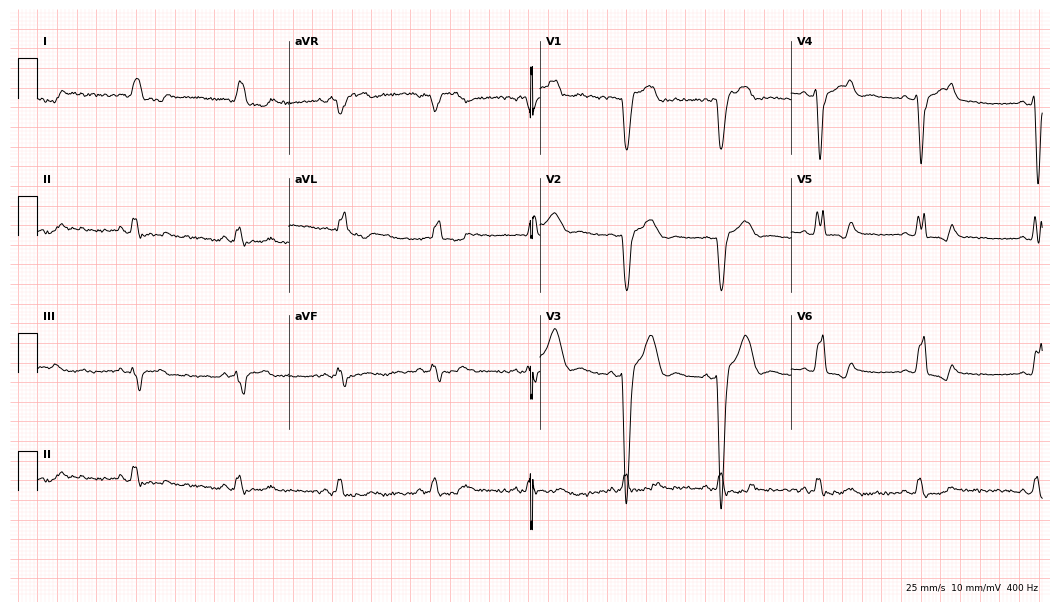
12-lead ECG (10.2-second recording at 400 Hz) from a 54-year-old male patient. Findings include left bundle branch block (LBBB).